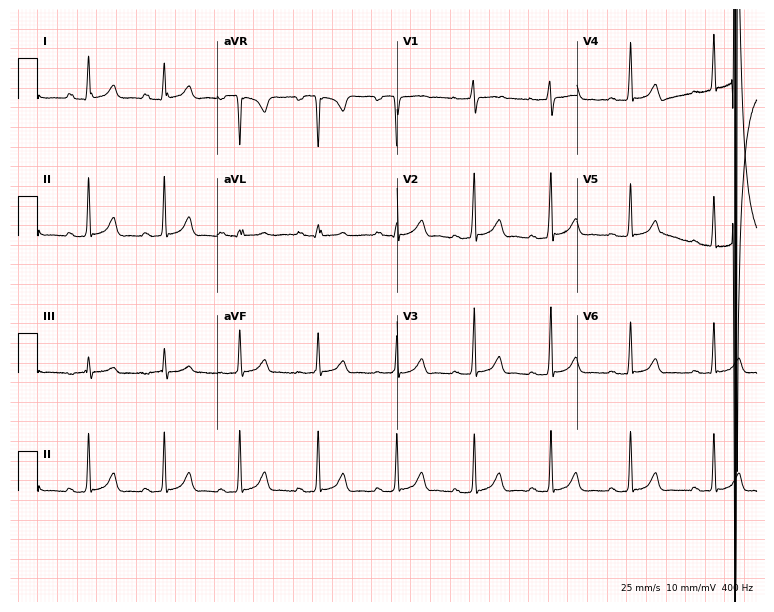
Electrocardiogram, a woman, 22 years old. Of the six screened findings (first-degree AV block, right bundle branch block, left bundle branch block, sinus bradycardia, atrial fibrillation, sinus tachycardia), none is recorded.